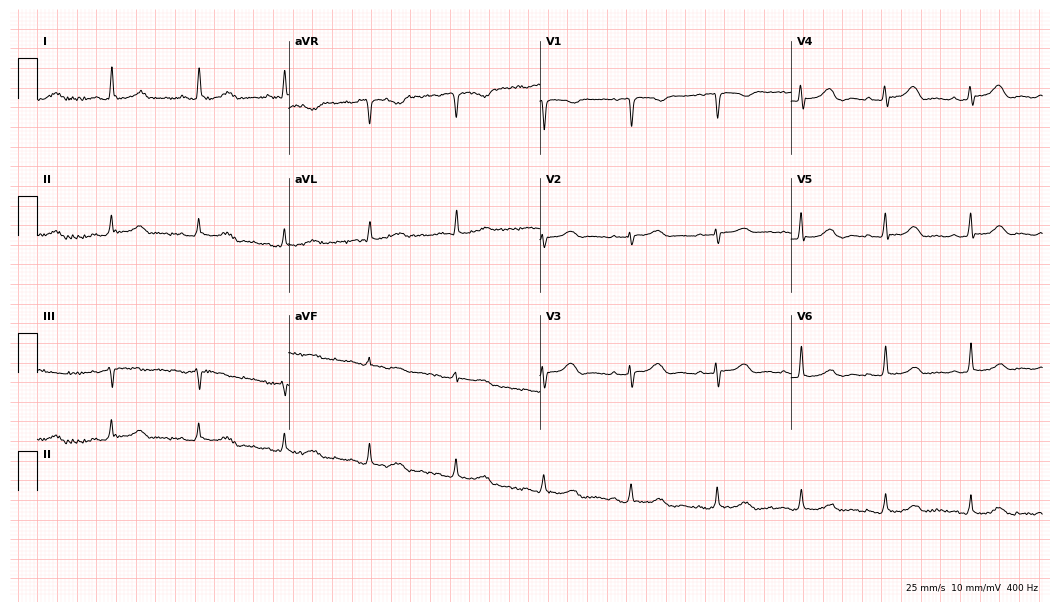
Resting 12-lead electrocardiogram (10.2-second recording at 400 Hz). Patient: a female, 75 years old. None of these six findings is recorded: first-degree AV block, right bundle branch block (RBBB), left bundle branch block (LBBB), sinus bradycardia, atrial fibrillation (AF), sinus tachycardia. Findings outside these six are not listed.